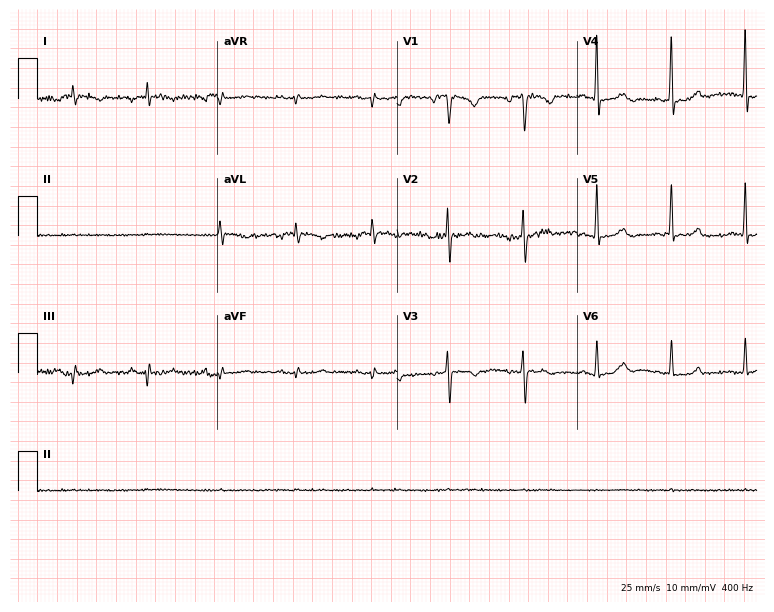
Standard 12-lead ECG recorded from a female, 74 years old (7.3-second recording at 400 Hz). None of these six findings is recorded: first-degree AV block, right bundle branch block (RBBB), left bundle branch block (LBBB), sinus bradycardia, atrial fibrillation (AF), sinus tachycardia.